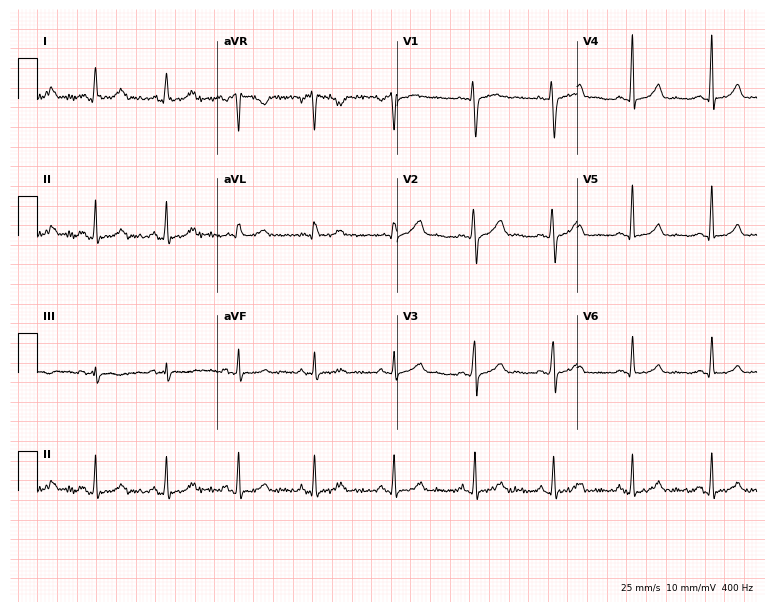
ECG (7.3-second recording at 400 Hz) — a female, 36 years old. Labelled as a normal ECG.